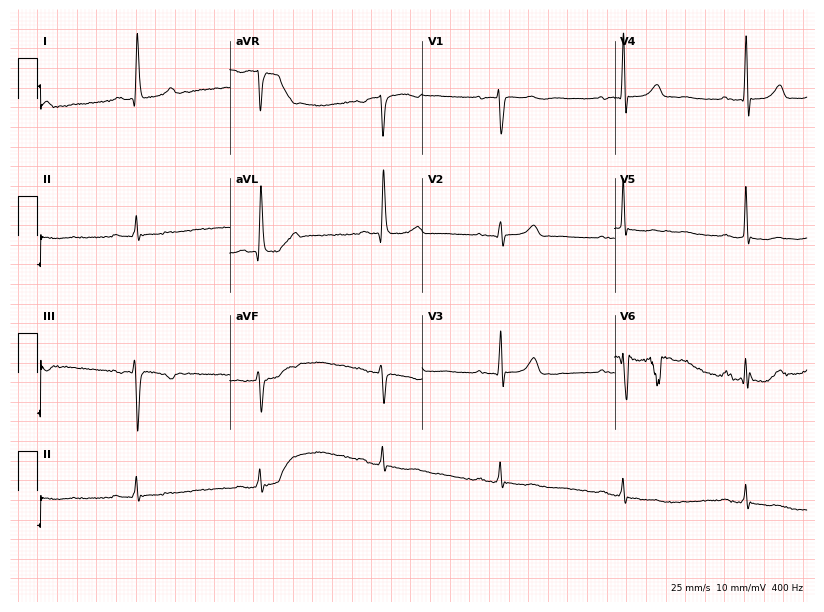
12-lead ECG (7.8-second recording at 400 Hz) from a 79-year-old woman. Findings include sinus bradycardia (a sinus rate of 50 beats per minute or less).